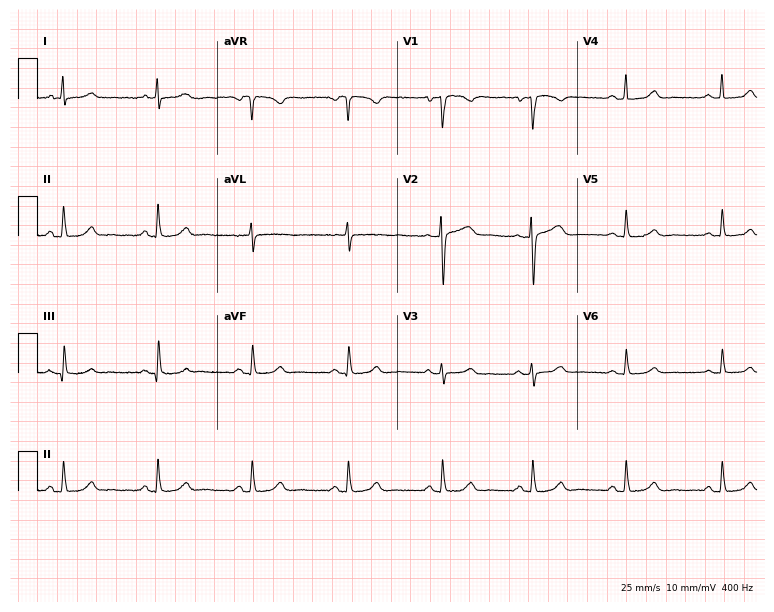
Electrocardiogram, a 60-year-old woman. Overall reading on record: normal ECG.